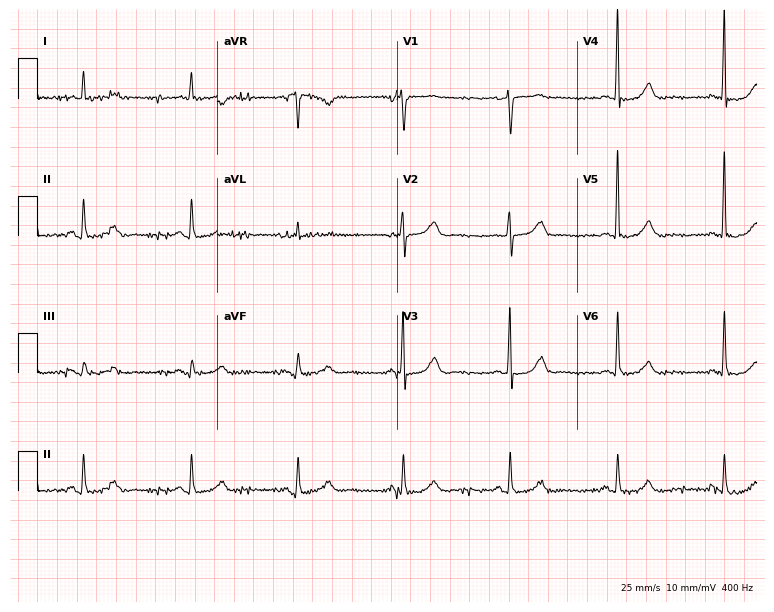
Resting 12-lead electrocardiogram (7.3-second recording at 400 Hz). Patient: a 73-year-old female. Read as a normal ECG.